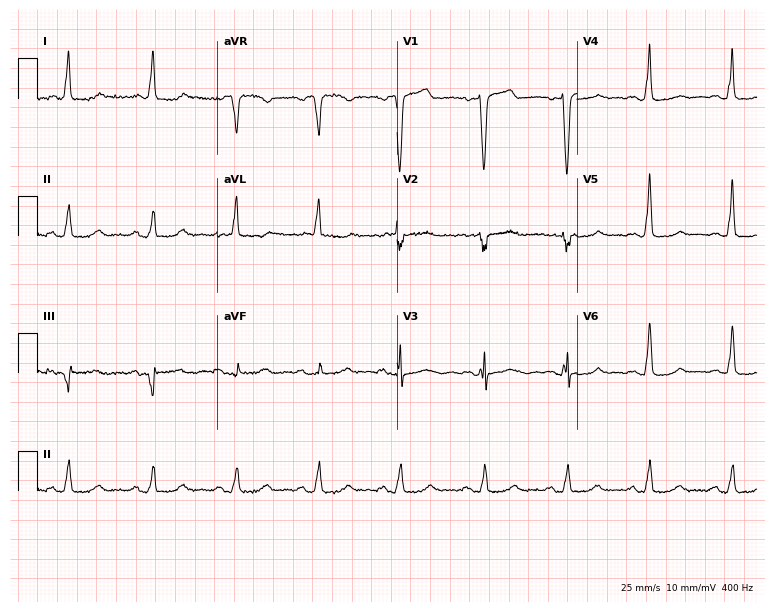
Resting 12-lead electrocardiogram. Patient: a 79-year-old female. None of these six findings is recorded: first-degree AV block, right bundle branch block, left bundle branch block, sinus bradycardia, atrial fibrillation, sinus tachycardia. Only these six findings were labelled.